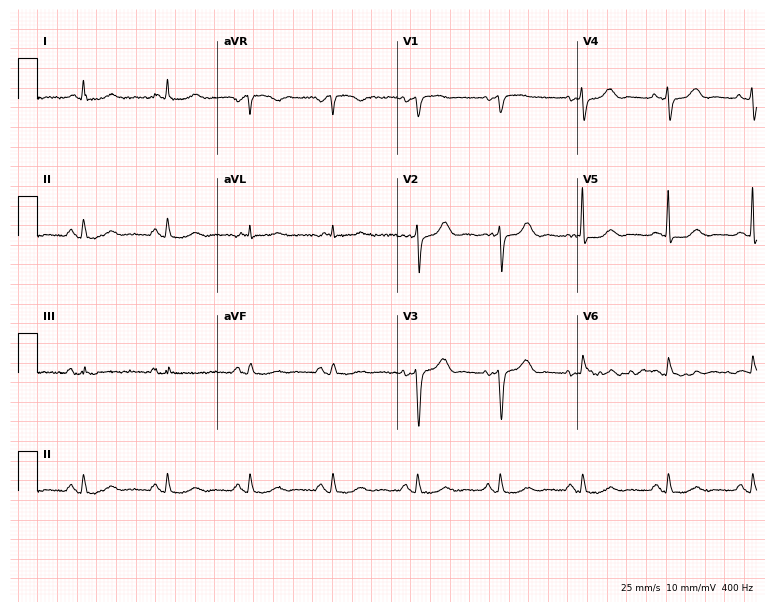
Resting 12-lead electrocardiogram (7.3-second recording at 400 Hz). Patient: a female, 76 years old. None of these six findings is recorded: first-degree AV block, right bundle branch block, left bundle branch block, sinus bradycardia, atrial fibrillation, sinus tachycardia.